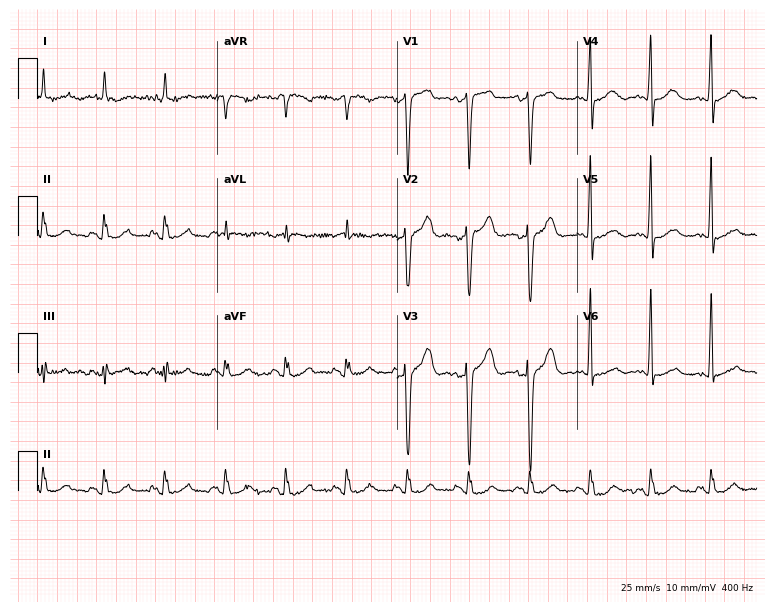
Resting 12-lead electrocardiogram (7.3-second recording at 400 Hz). Patient: a 79-year-old man. None of these six findings is recorded: first-degree AV block, right bundle branch block (RBBB), left bundle branch block (LBBB), sinus bradycardia, atrial fibrillation (AF), sinus tachycardia.